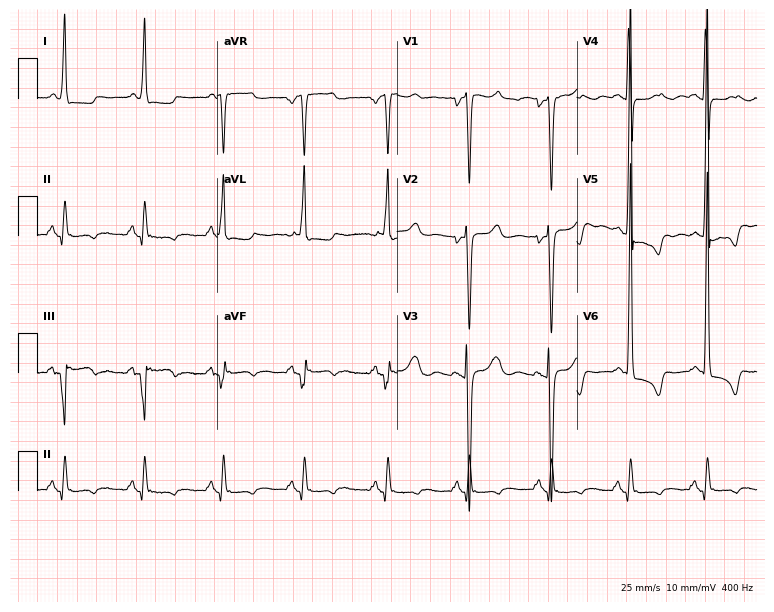
Standard 12-lead ECG recorded from a 60-year-old female patient (7.3-second recording at 400 Hz). None of these six findings is recorded: first-degree AV block, right bundle branch block (RBBB), left bundle branch block (LBBB), sinus bradycardia, atrial fibrillation (AF), sinus tachycardia. Other findings, if any, are not listed.